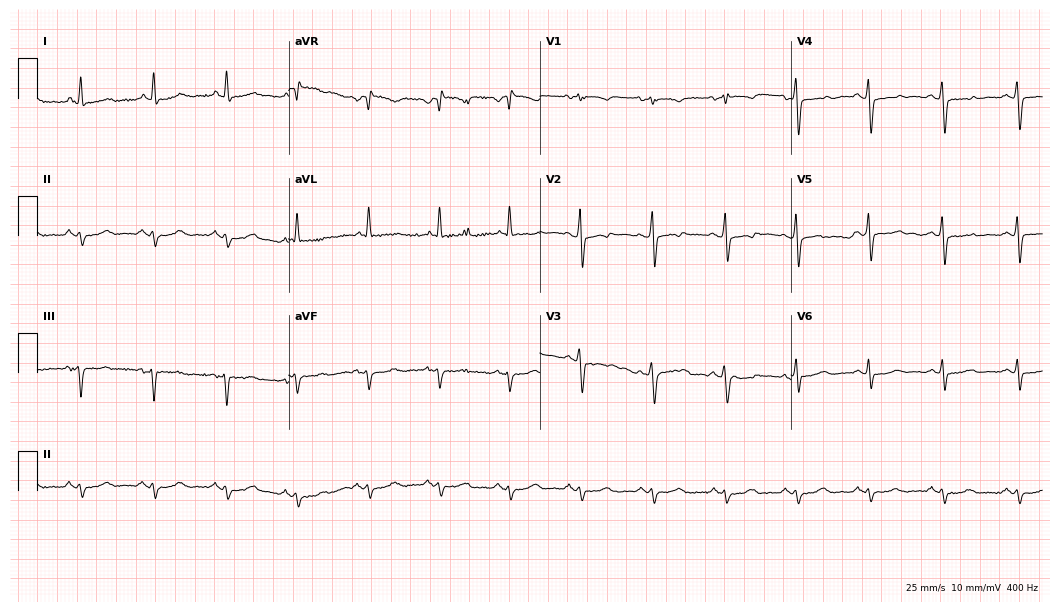
12-lead ECG (10.2-second recording at 400 Hz) from an 84-year-old female patient. Screened for six findings — first-degree AV block, right bundle branch block, left bundle branch block, sinus bradycardia, atrial fibrillation, sinus tachycardia — none is recorded.